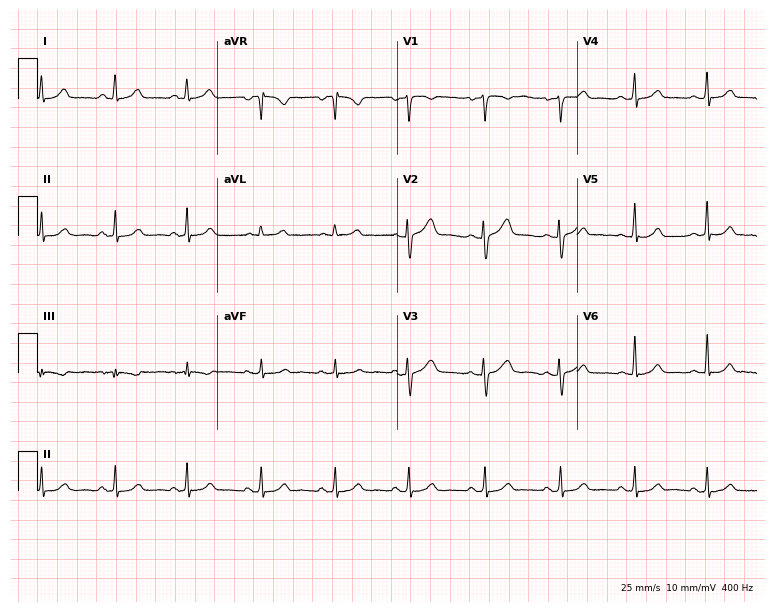
12-lead ECG from a 33-year-old female patient. Recorded interpretation: within normal limits.